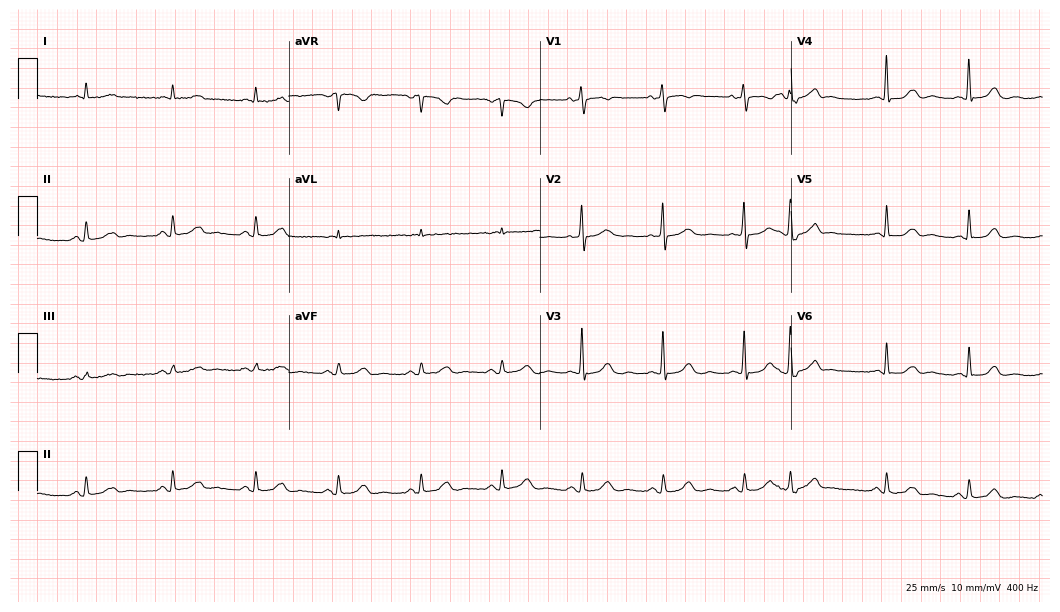
Resting 12-lead electrocardiogram. Patient: a 74-year-old man. None of these six findings is recorded: first-degree AV block, right bundle branch block, left bundle branch block, sinus bradycardia, atrial fibrillation, sinus tachycardia.